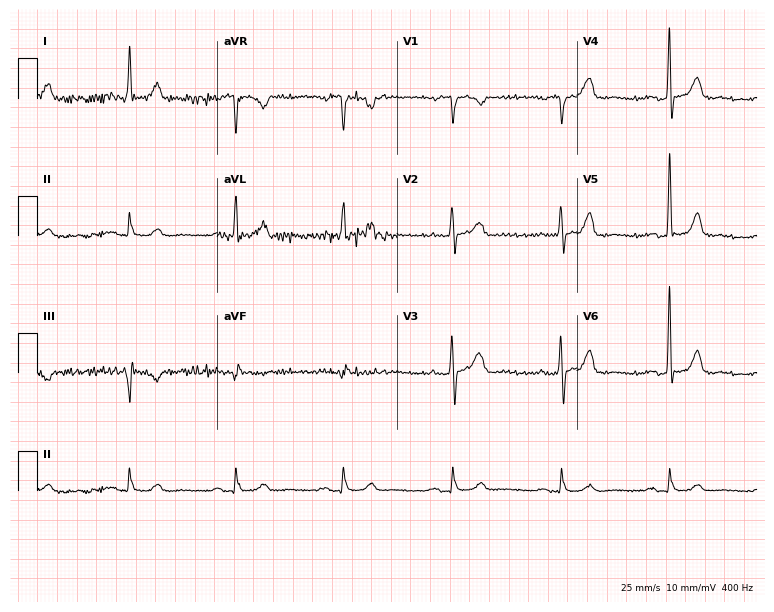
Resting 12-lead electrocardiogram. Patient: a man, 60 years old. Read as a normal ECG.